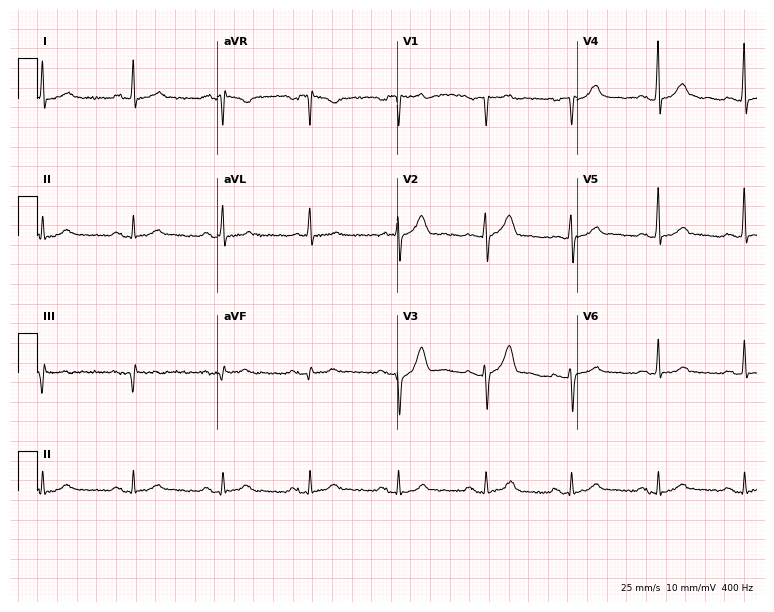
12-lead ECG from a 64-year-old male (7.3-second recording at 400 Hz). No first-degree AV block, right bundle branch block, left bundle branch block, sinus bradycardia, atrial fibrillation or sinus tachycardia recorded for this tracing. Only these six findings were labelled.